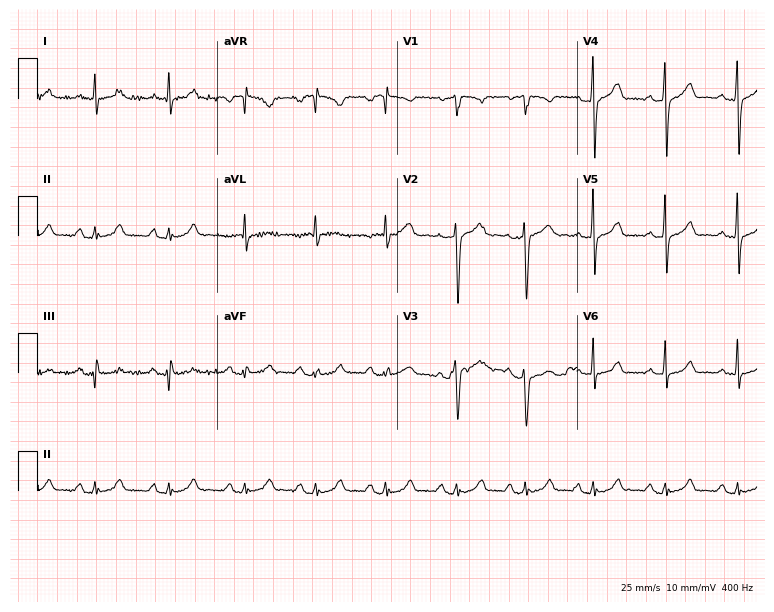
Standard 12-lead ECG recorded from a 46-year-old woman. None of these six findings is recorded: first-degree AV block, right bundle branch block, left bundle branch block, sinus bradycardia, atrial fibrillation, sinus tachycardia. Findings outside these six are not listed.